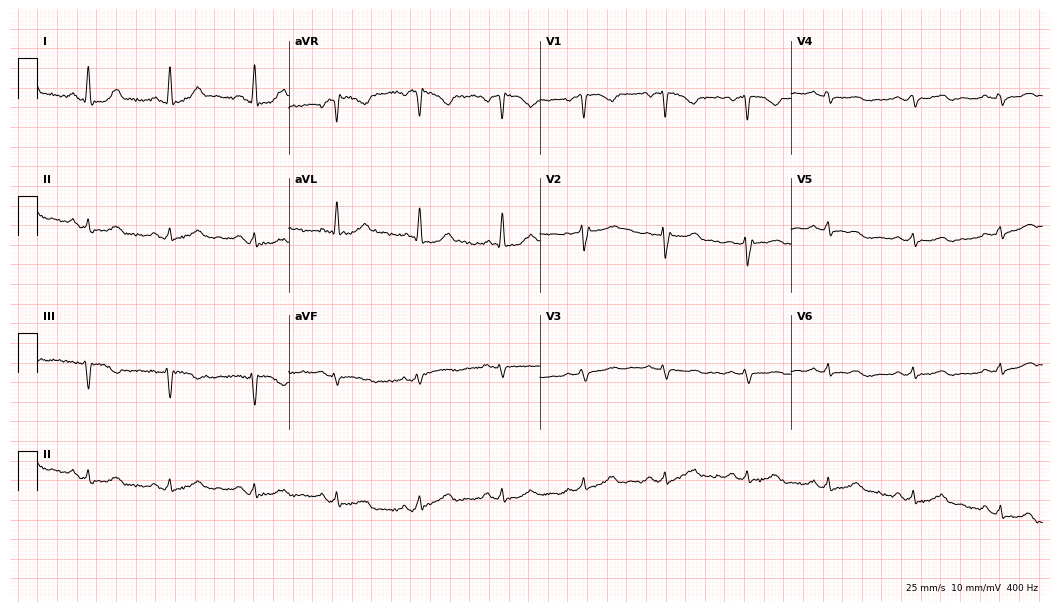
Electrocardiogram, a 64-year-old female patient. Of the six screened findings (first-degree AV block, right bundle branch block (RBBB), left bundle branch block (LBBB), sinus bradycardia, atrial fibrillation (AF), sinus tachycardia), none is recorded.